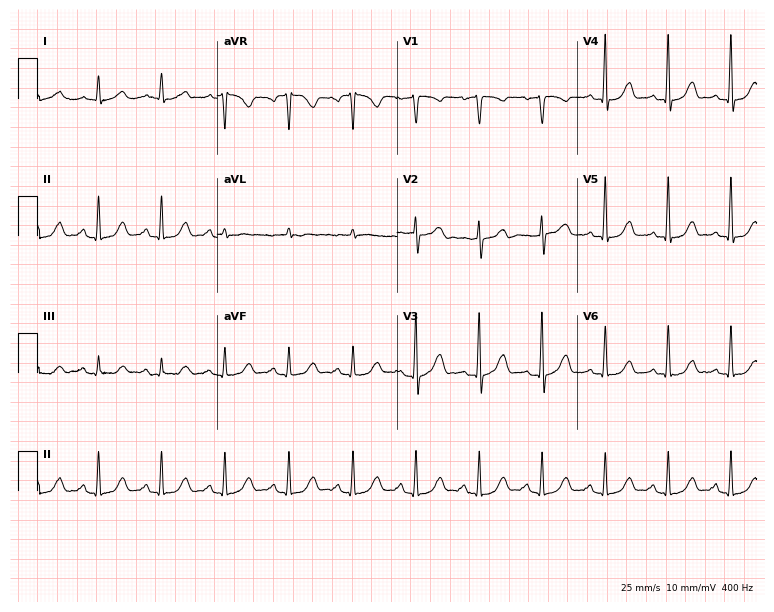
Standard 12-lead ECG recorded from a man, 57 years old (7.3-second recording at 400 Hz). None of these six findings is recorded: first-degree AV block, right bundle branch block (RBBB), left bundle branch block (LBBB), sinus bradycardia, atrial fibrillation (AF), sinus tachycardia.